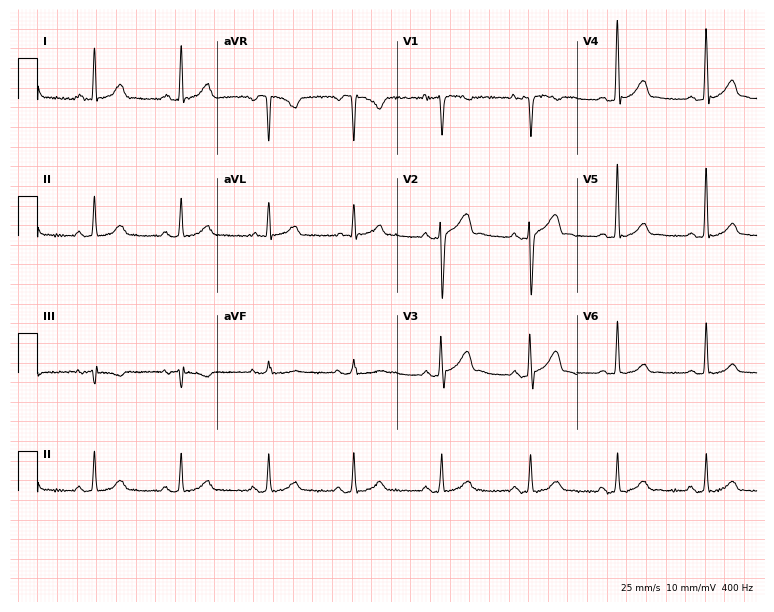
12-lead ECG from a 24-year-old male. Recorded interpretation: within normal limits.